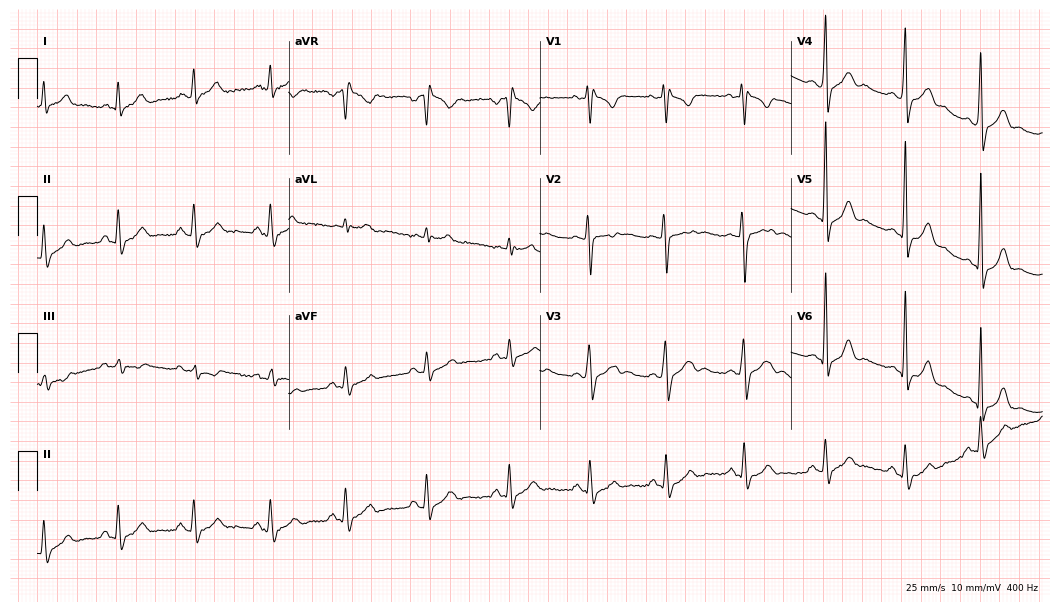
Resting 12-lead electrocardiogram. Patient: a man, 23 years old. None of these six findings is recorded: first-degree AV block, right bundle branch block, left bundle branch block, sinus bradycardia, atrial fibrillation, sinus tachycardia.